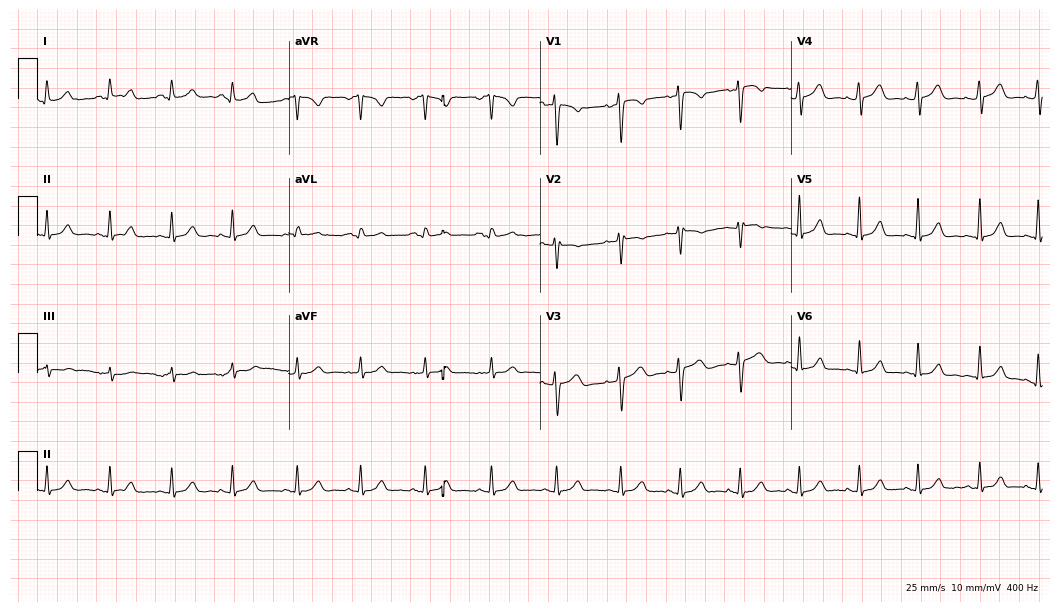
ECG — a female, 35 years old. Labelled as a normal ECG.